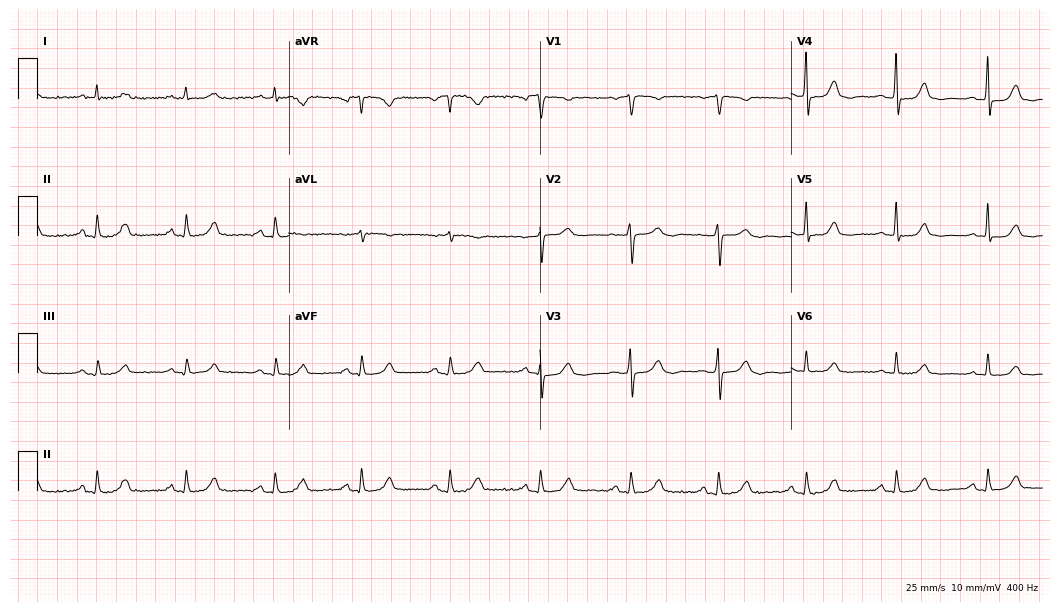
Standard 12-lead ECG recorded from a female, 79 years old (10.2-second recording at 400 Hz). Read as a normal ECG.